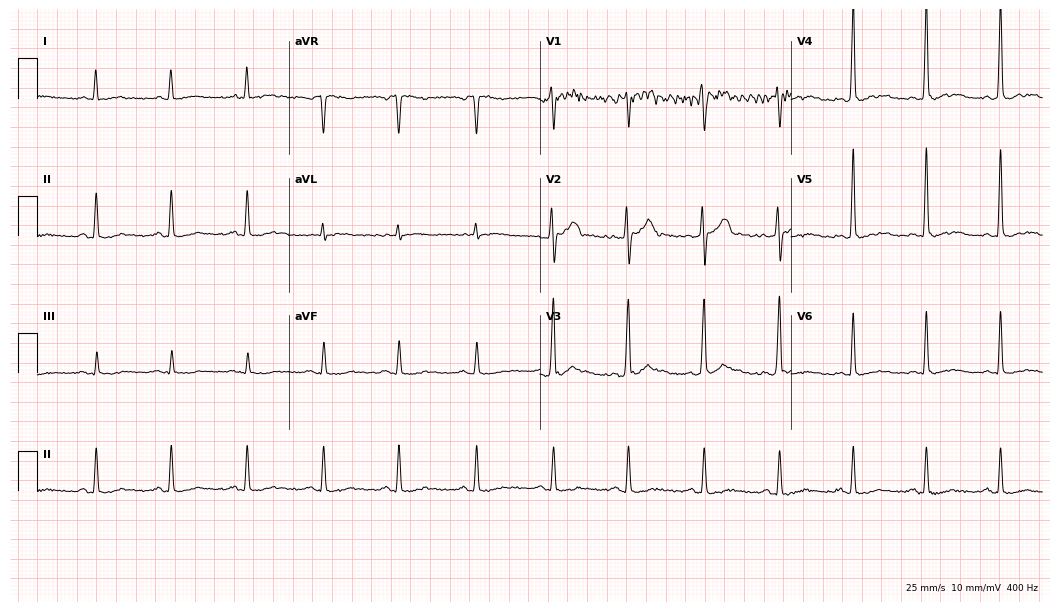
Standard 12-lead ECG recorded from a male, 45 years old (10.2-second recording at 400 Hz). None of these six findings is recorded: first-degree AV block, right bundle branch block, left bundle branch block, sinus bradycardia, atrial fibrillation, sinus tachycardia.